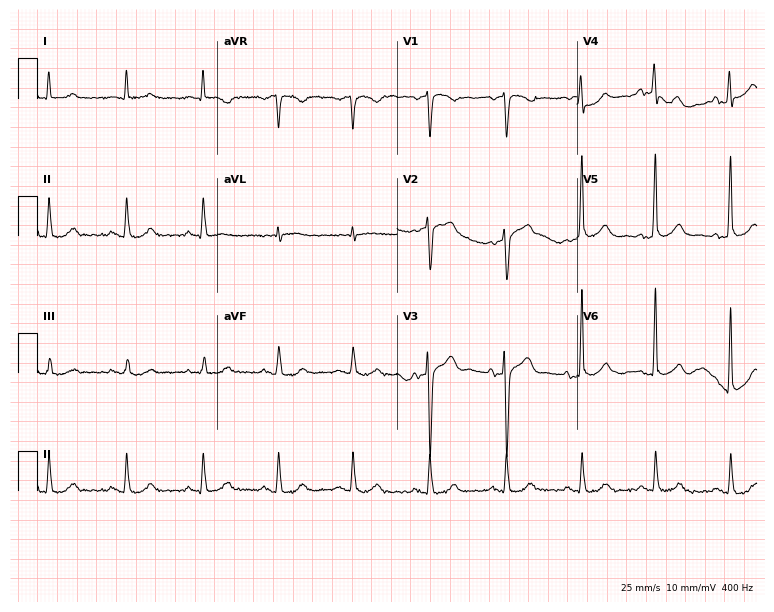
ECG (7.3-second recording at 400 Hz) — a man, 53 years old. Labelled as a normal ECG.